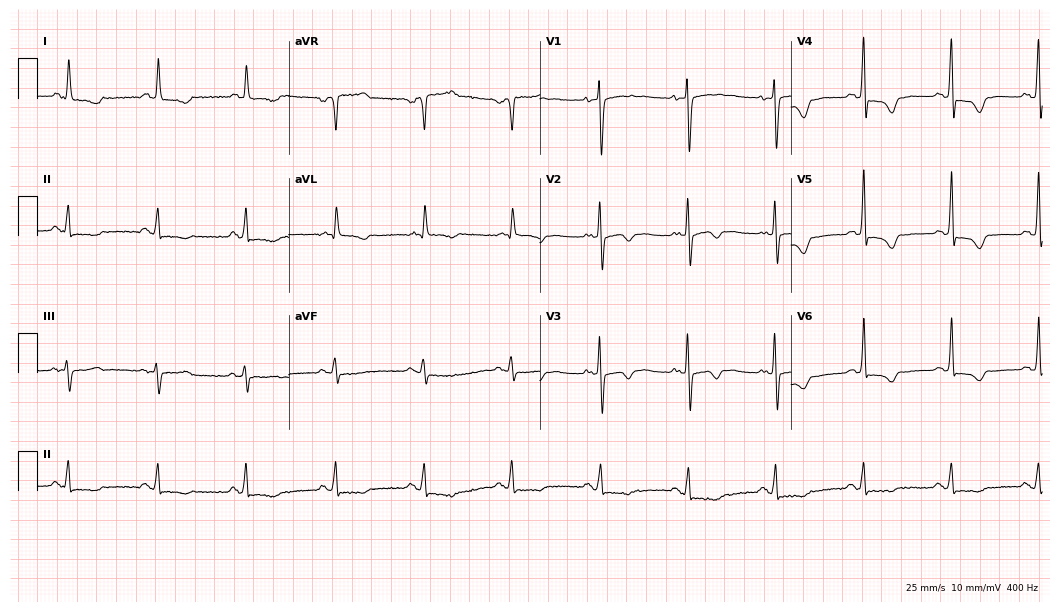
Resting 12-lead electrocardiogram. Patient: an 82-year-old female. None of these six findings is recorded: first-degree AV block, right bundle branch block, left bundle branch block, sinus bradycardia, atrial fibrillation, sinus tachycardia.